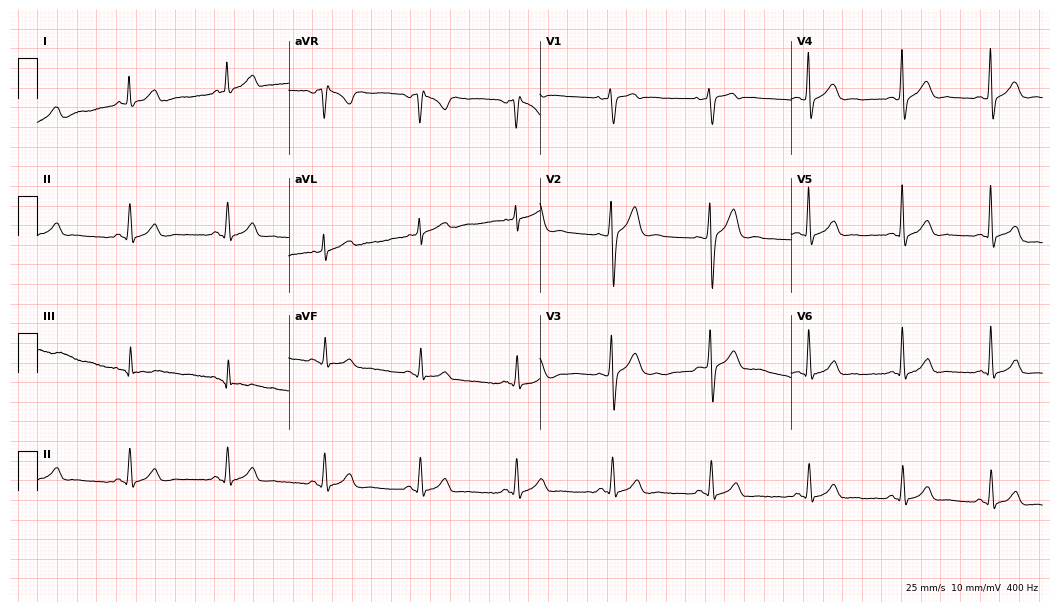
Electrocardiogram, a 41-year-old female. Of the six screened findings (first-degree AV block, right bundle branch block (RBBB), left bundle branch block (LBBB), sinus bradycardia, atrial fibrillation (AF), sinus tachycardia), none is recorded.